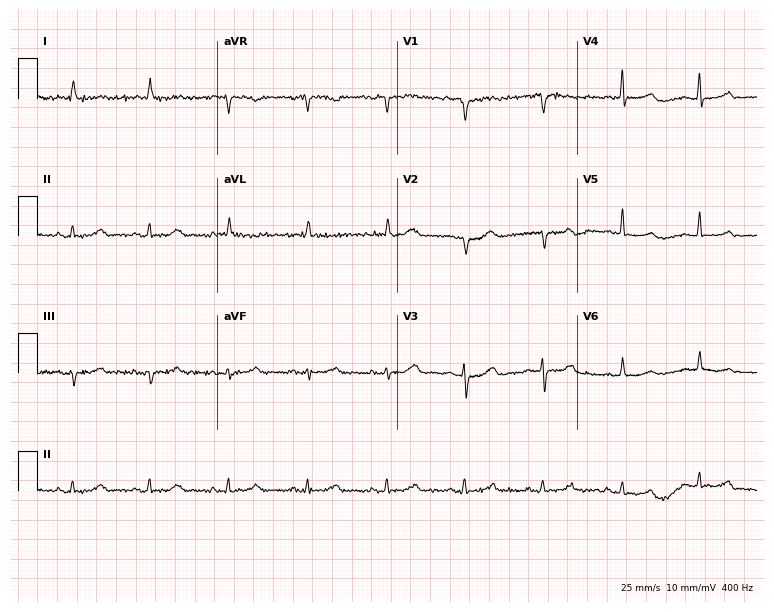
ECG (7.3-second recording at 400 Hz) — a female patient, 75 years old. Labelled as a normal ECG.